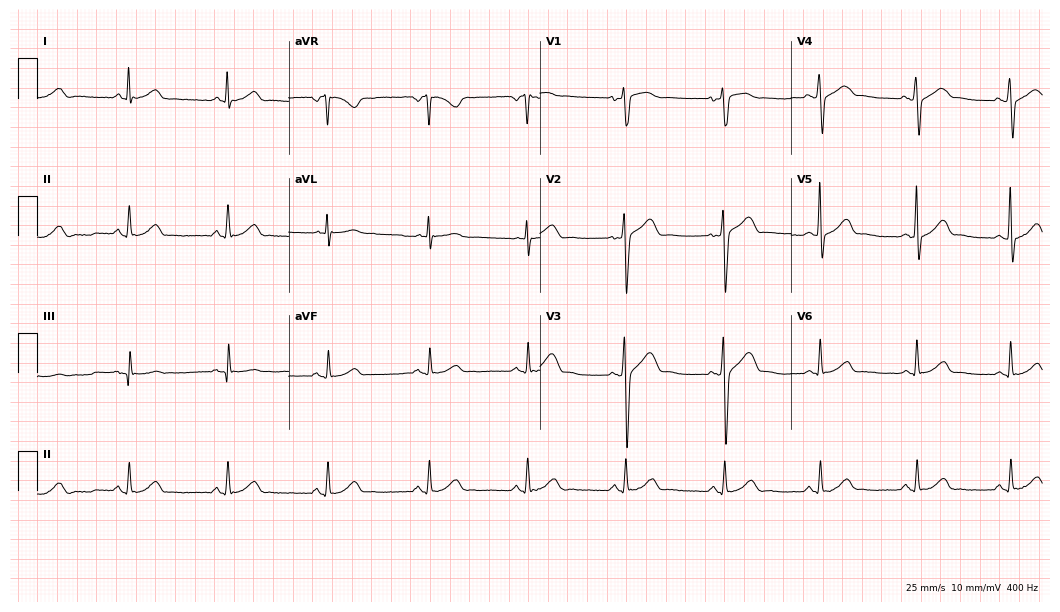
12-lead ECG from a male, 37 years old (10.2-second recording at 400 Hz). Recorded interpretation: within normal limits.